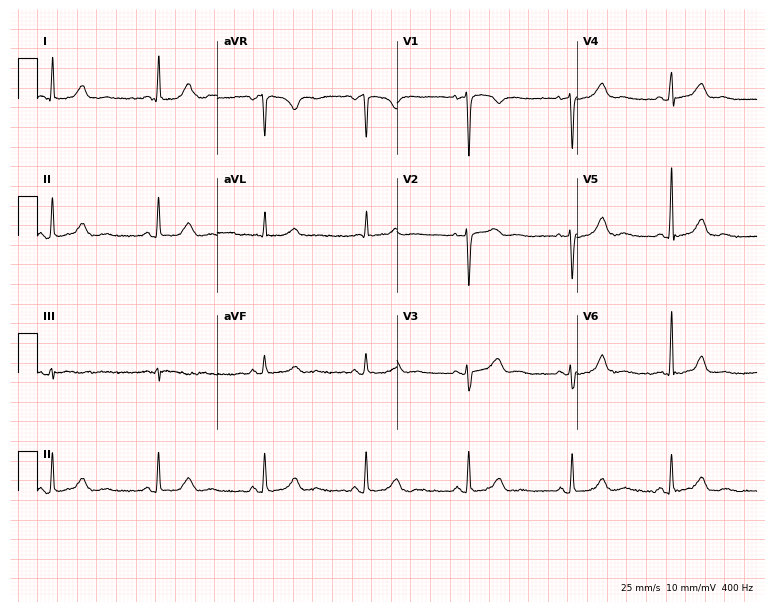
Electrocardiogram, a 47-year-old female. Of the six screened findings (first-degree AV block, right bundle branch block, left bundle branch block, sinus bradycardia, atrial fibrillation, sinus tachycardia), none is recorded.